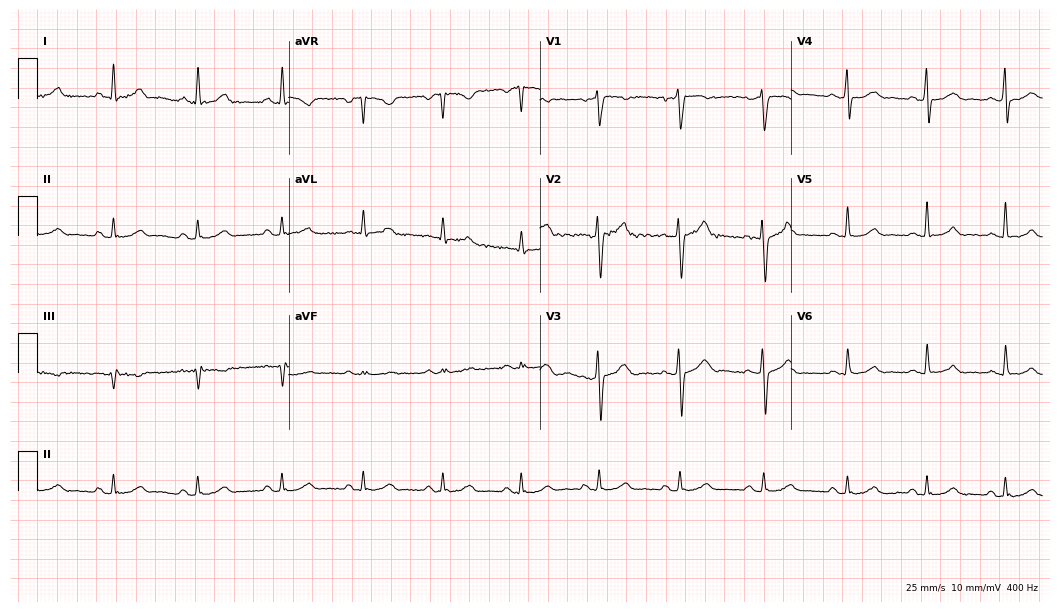
12-lead ECG from a male, 35 years old. No first-degree AV block, right bundle branch block (RBBB), left bundle branch block (LBBB), sinus bradycardia, atrial fibrillation (AF) or sinus tachycardia recorded for this tracing.